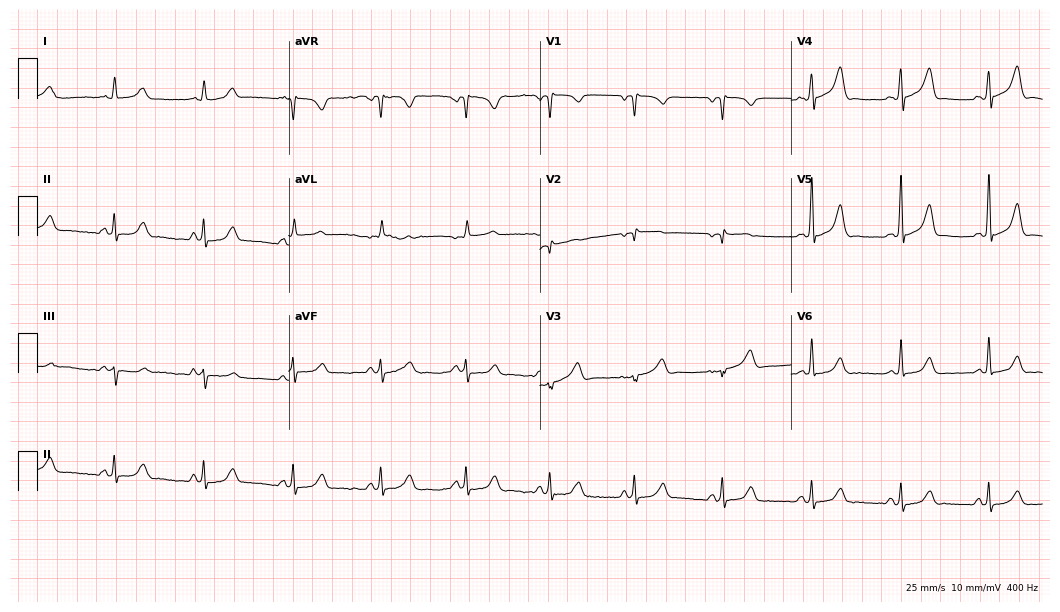
Standard 12-lead ECG recorded from a male patient, 60 years old (10.2-second recording at 400 Hz). Read as a normal ECG.